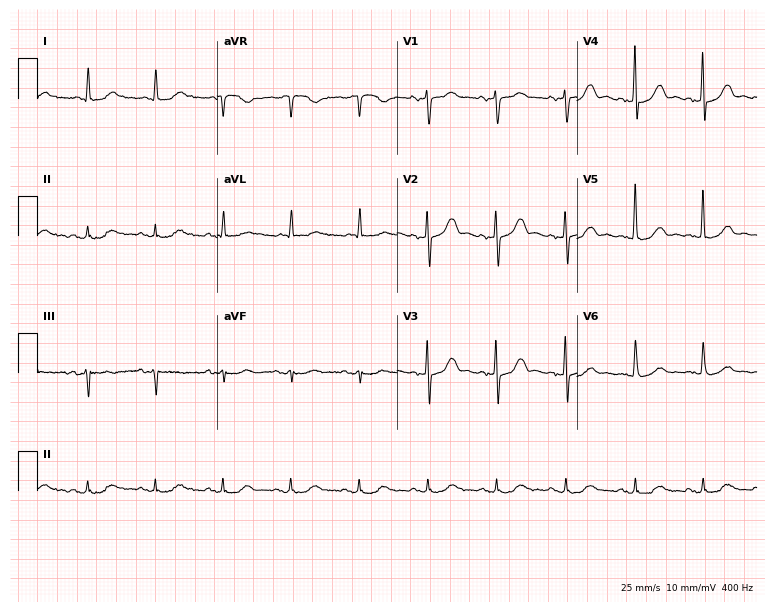
Electrocardiogram (7.3-second recording at 400 Hz), a 76-year-old man. Of the six screened findings (first-degree AV block, right bundle branch block (RBBB), left bundle branch block (LBBB), sinus bradycardia, atrial fibrillation (AF), sinus tachycardia), none is recorded.